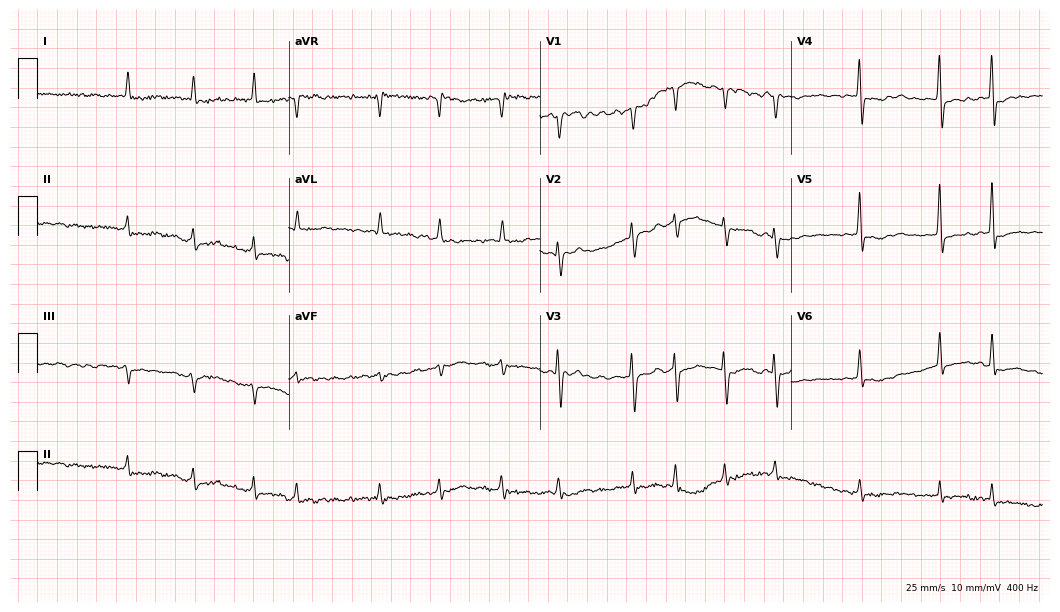
12-lead ECG from a 67-year-old female patient. Findings include atrial fibrillation (AF).